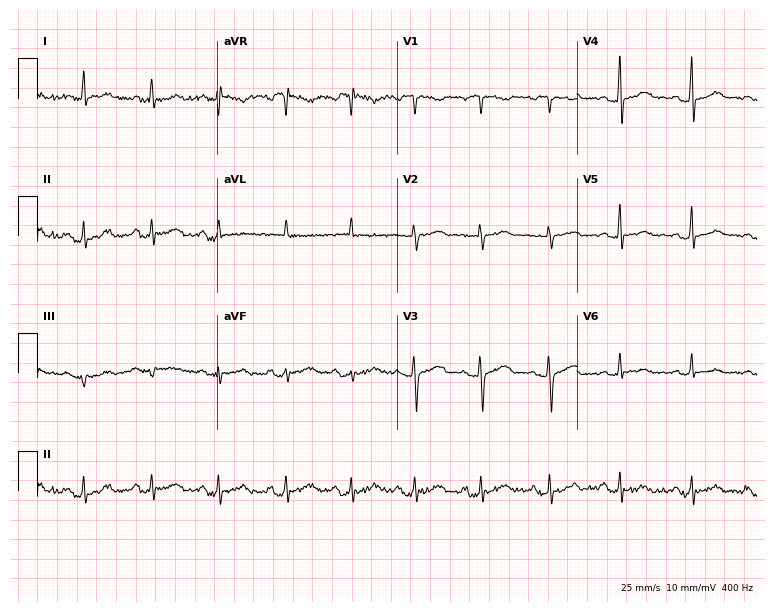
Resting 12-lead electrocardiogram (7.3-second recording at 400 Hz). Patient: a 41-year-old female. Read as a normal ECG.